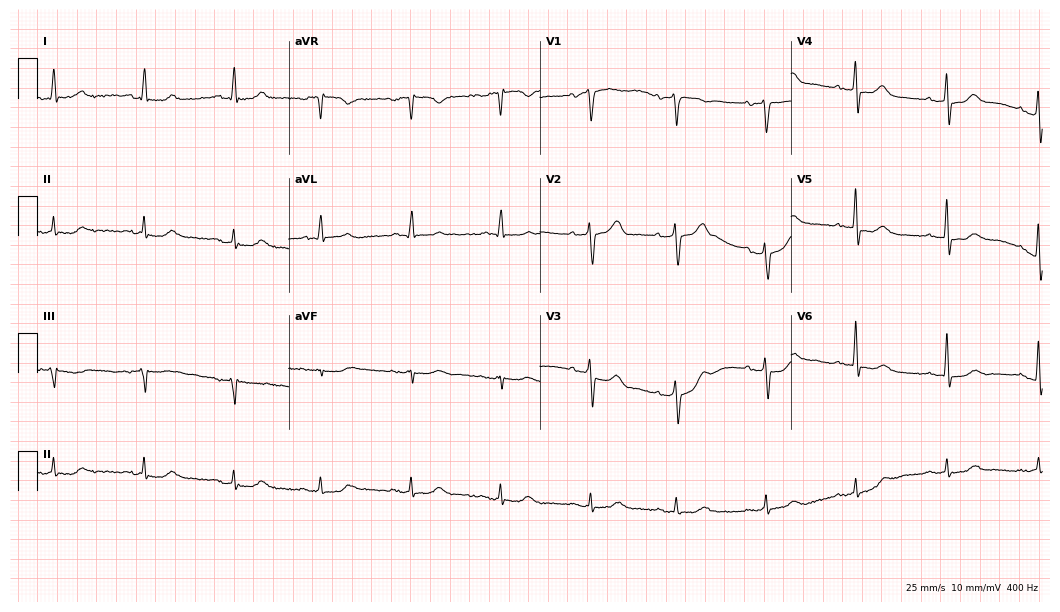
12-lead ECG from a male patient, 70 years old (10.2-second recording at 400 Hz). No first-degree AV block, right bundle branch block (RBBB), left bundle branch block (LBBB), sinus bradycardia, atrial fibrillation (AF) or sinus tachycardia recorded for this tracing. Other findings, if any, are not listed.